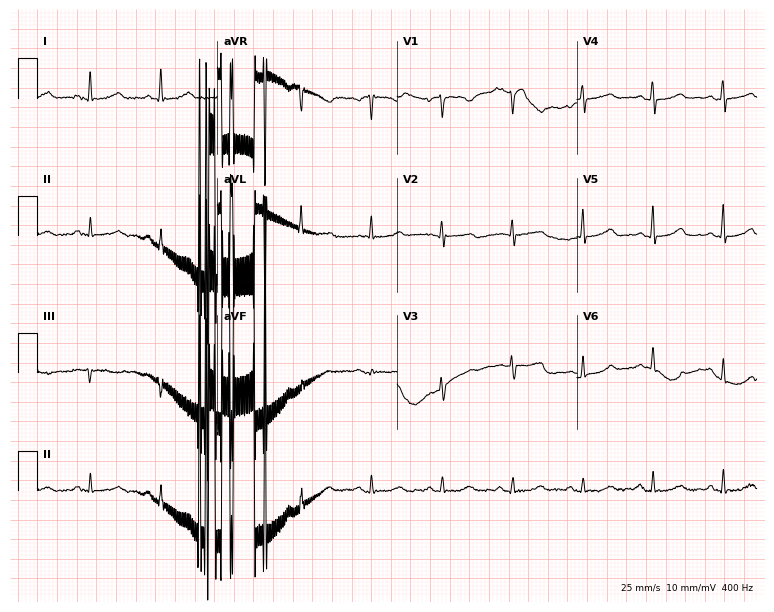
12-lead ECG from a 57-year-old female patient. Screened for six findings — first-degree AV block, right bundle branch block, left bundle branch block, sinus bradycardia, atrial fibrillation, sinus tachycardia — none is recorded.